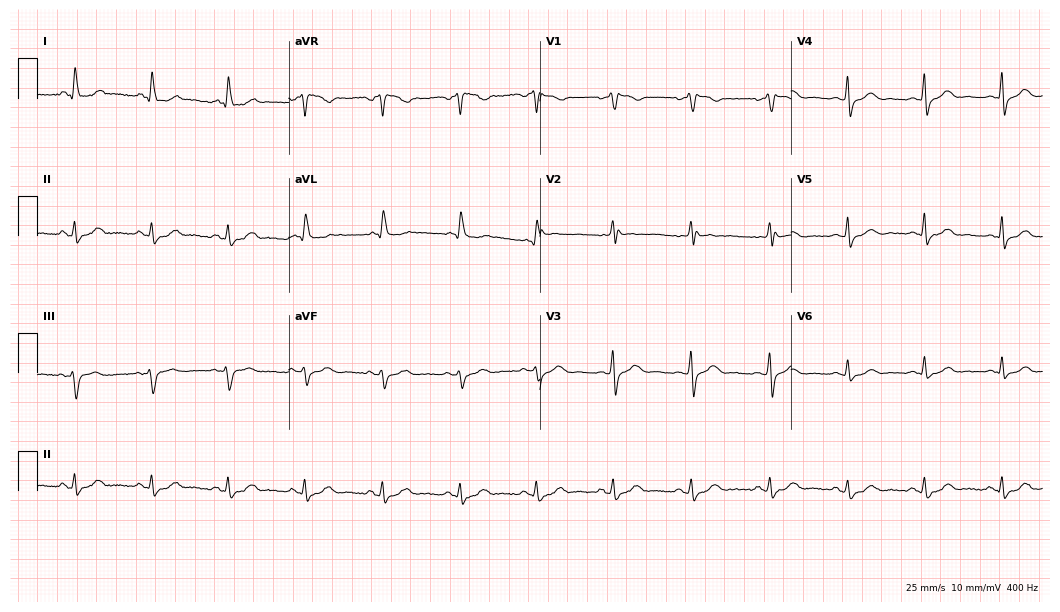
Standard 12-lead ECG recorded from a 66-year-old female patient (10.2-second recording at 400 Hz). None of these six findings is recorded: first-degree AV block, right bundle branch block, left bundle branch block, sinus bradycardia, atrial fibrillation, sinus tachycardia.